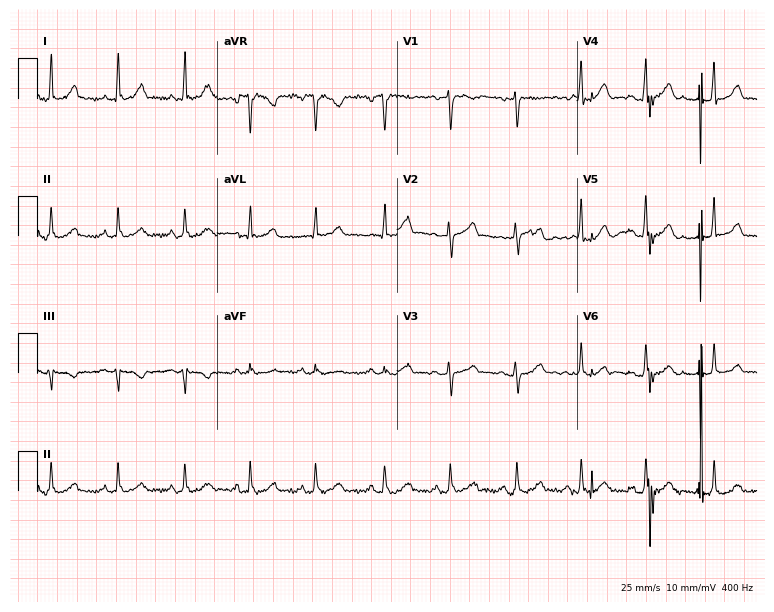
12-lead ECG from a 50-year-old woman. Recorded interpretation: within normal limits.